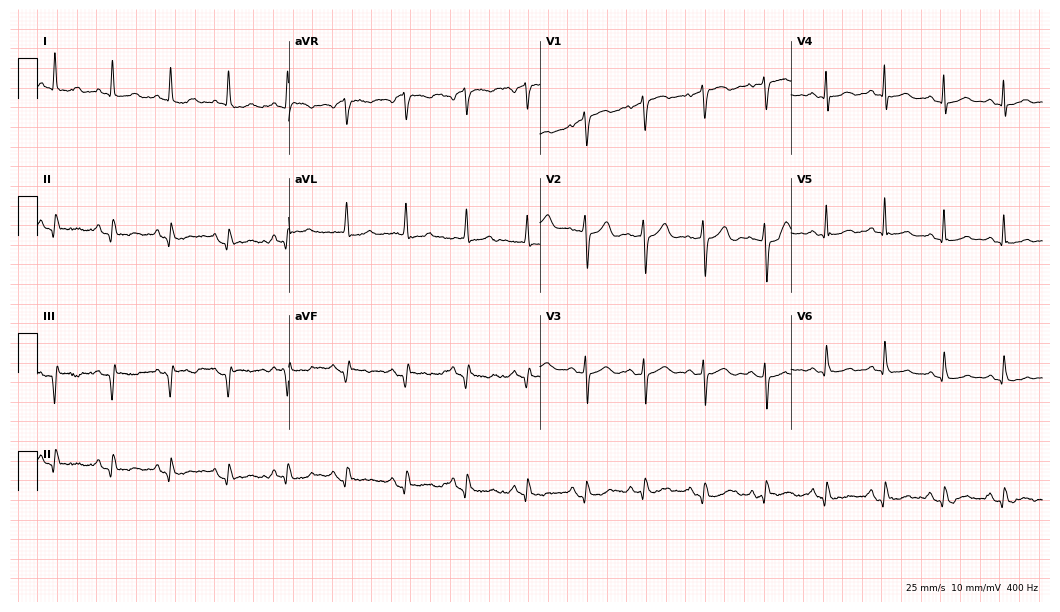
Electrocardiogram, a 79-year-old woman. Of the six screened findings (first-degree AV block, right bundle branch block (RBBB), left bundle branch block (LBBB), sinus bradycardia, atrial fibrillation (AF), sinus tachycardia), none is recorded.